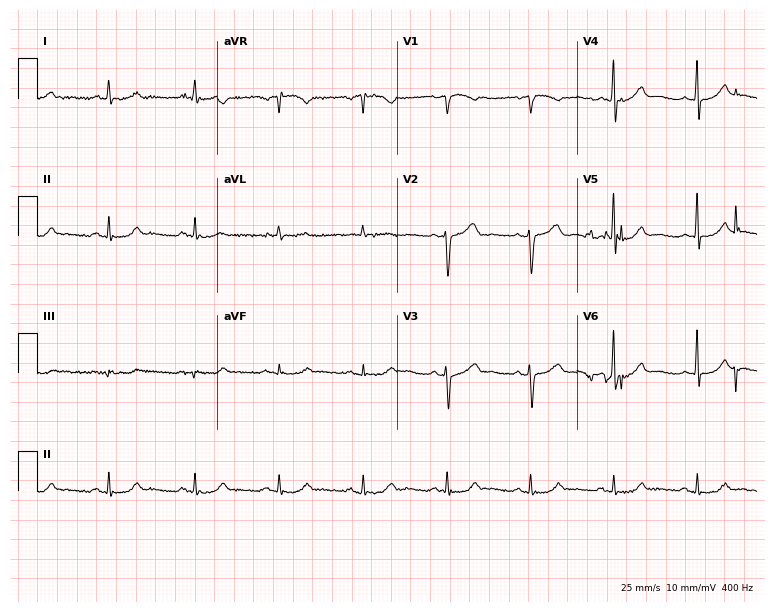
Resting 12-lead electrocardiogram (7.3-second recording at 400 Hz). Patient: a 64-year-old female. Read as a normal ECG.